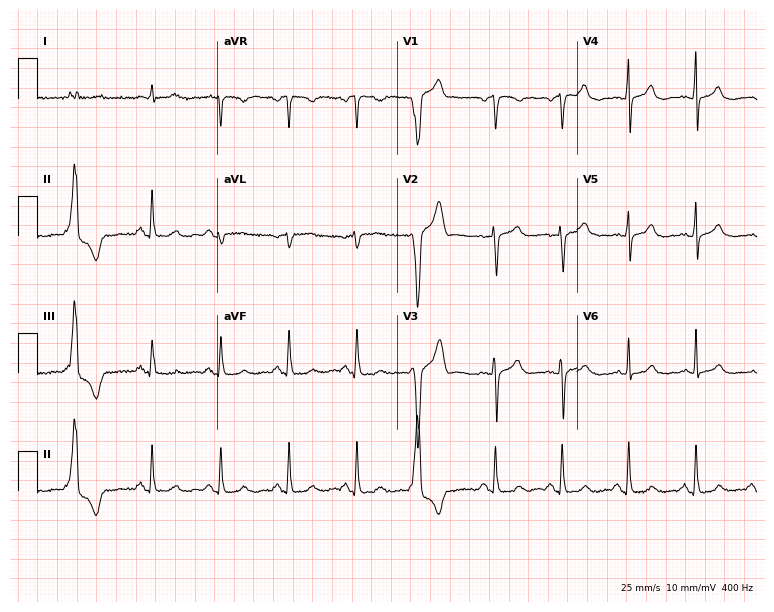
Resting 12-lead electrocardiogram. Patient: a female, 60 years old. None of these six findings is recorded: first-degree AV block, right bundle branch block, left bundle branch block, sinus bradycardia, atrial fibrillation, sinus tachycardia.